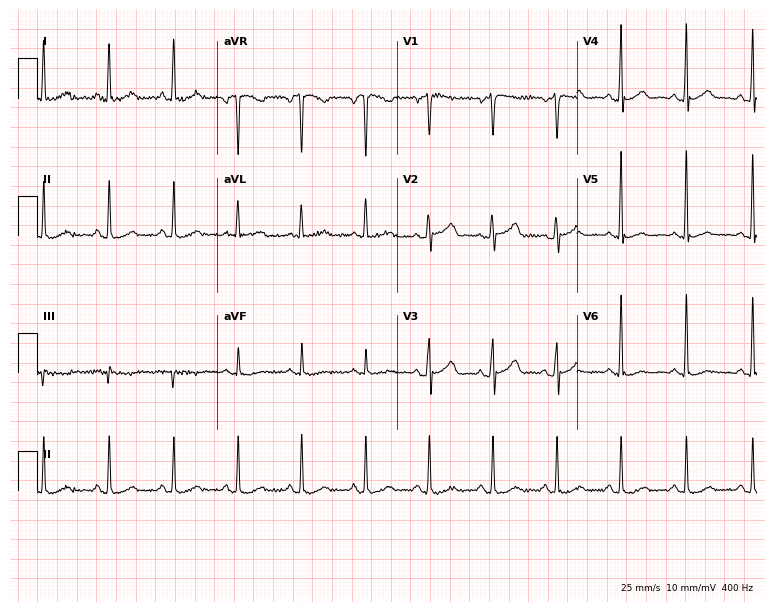
12-lead ECG from a 54-year-old woman. Labelled as a normal ECG.